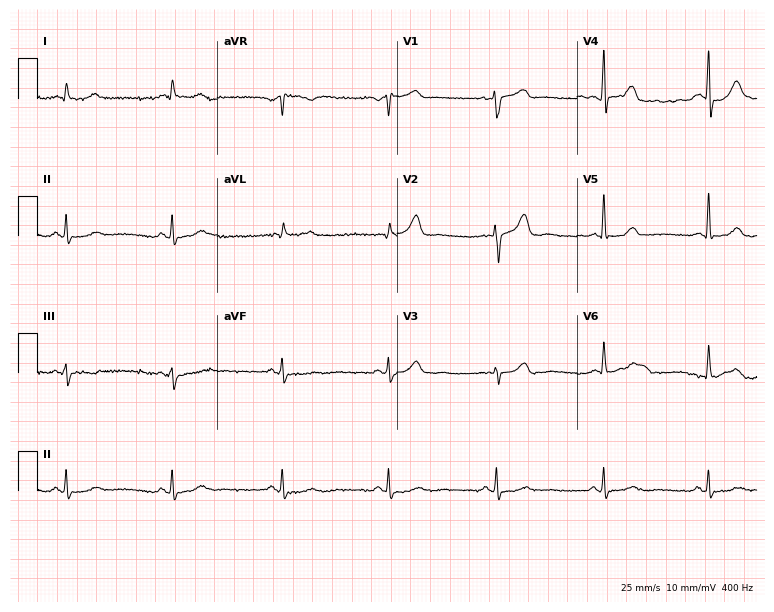
Resting 12-lead electrocardiogram (7.3-second recording at 400 Hz). Patient: a man, 62 years old. None of these six findings is recorded: first-degree AV block, right bundle branch block (RBBB), left bundle branch block (LBBB), sinus bradycardia, atrial fibrillation (AF), sinus tachycardia.